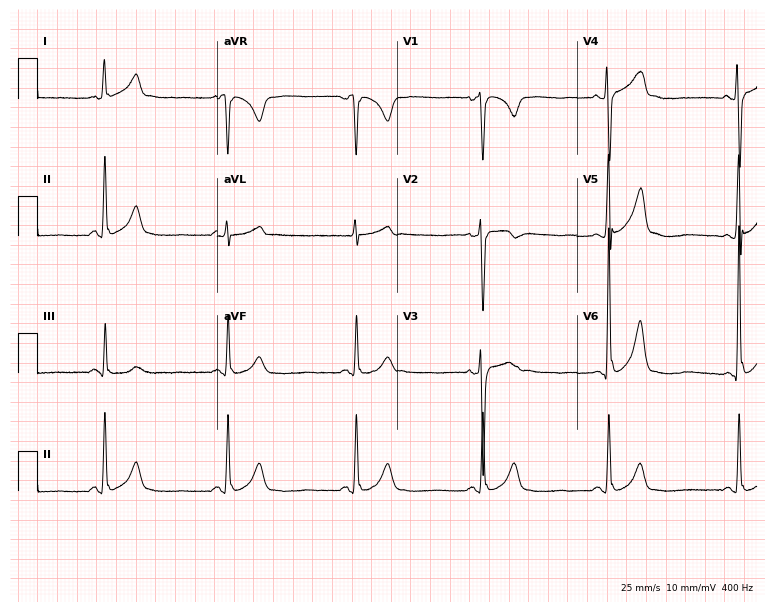
Resting 12-lead electrocardiogram. Patient: a male, 28 years old. The tracing shows sinus bradycardia (a sinus rate of 50 beats per minute or less).